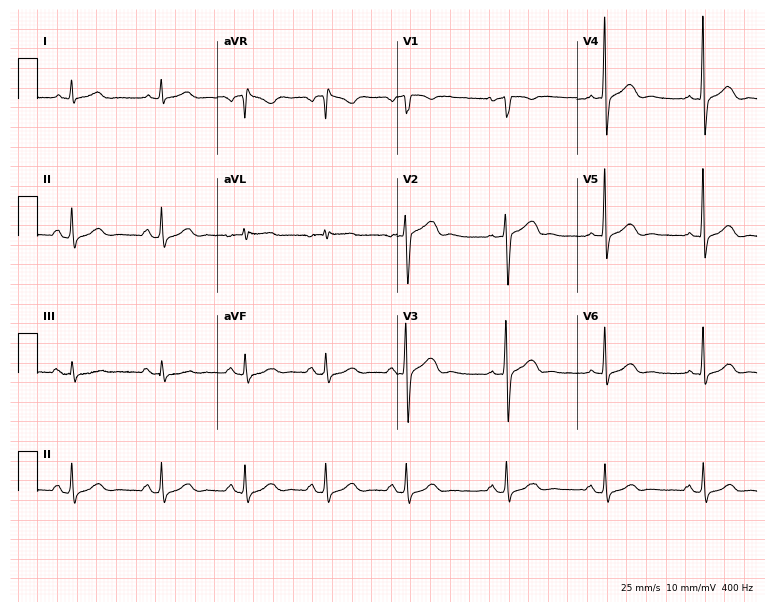
Resting 12-lead electrocardiogram (7.3-second recording at 400 Hz). Patient: a man, 73 years old. None of these six findings is recorded: first-degree AV block, right bundle branch block, left bundle branch block, sinus bradycardia, atrial fibrillation, sinus tachycardia.